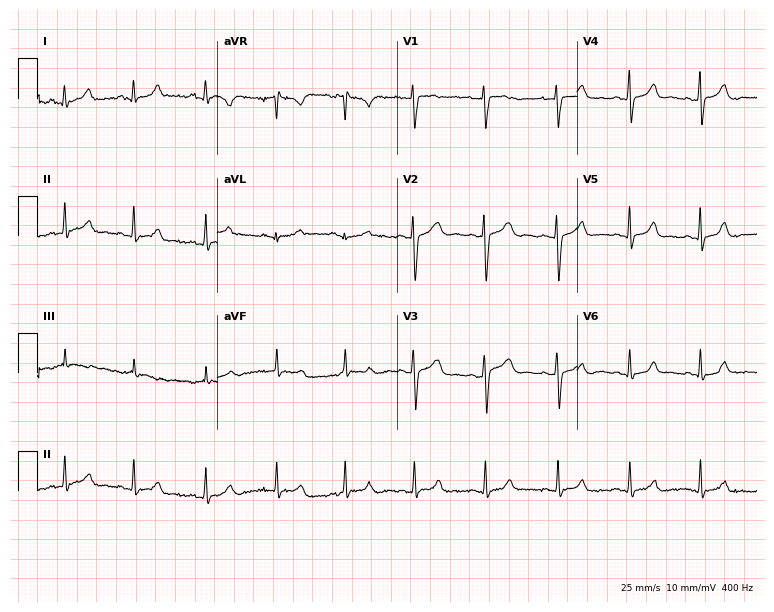
12-lead ECG from a 33-year-old woman (7.3-second recording at 400 Hz). No first-degree AV block, right bundle branch block, left bundle branch block, sinus bradycardia, atrial fibrillation or sinus tachycardia recorded for this tracing. Other findings, if any, are not listed.